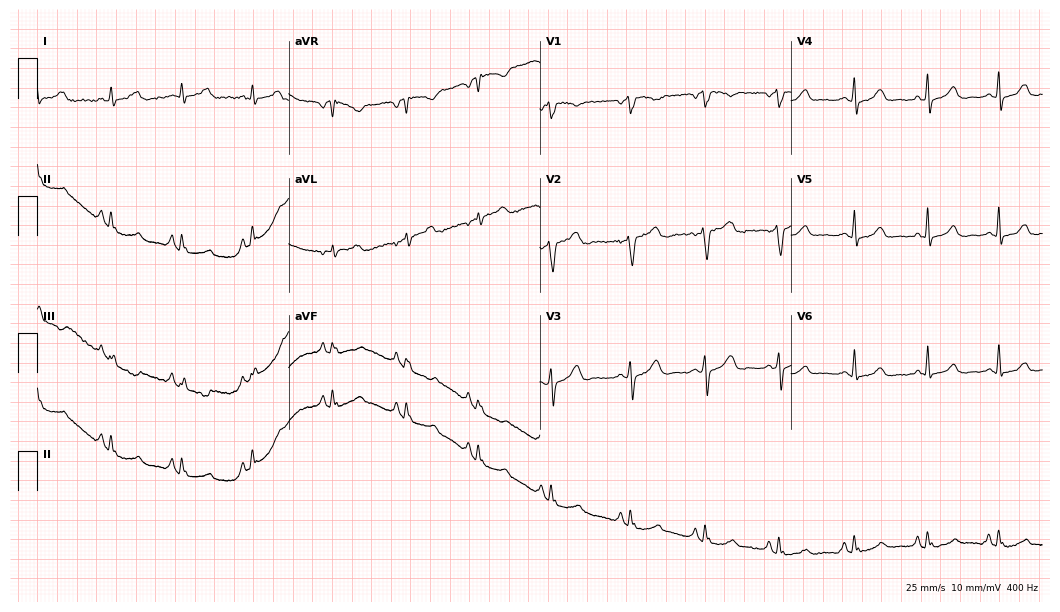
12-lead ECG from a 26-year-old female patient. No first-degree AV block, right bundle branch block, left bundle branch block, sinus bradycardia, atrial fibrillation or sinus tachycardia recorded for this tracing.